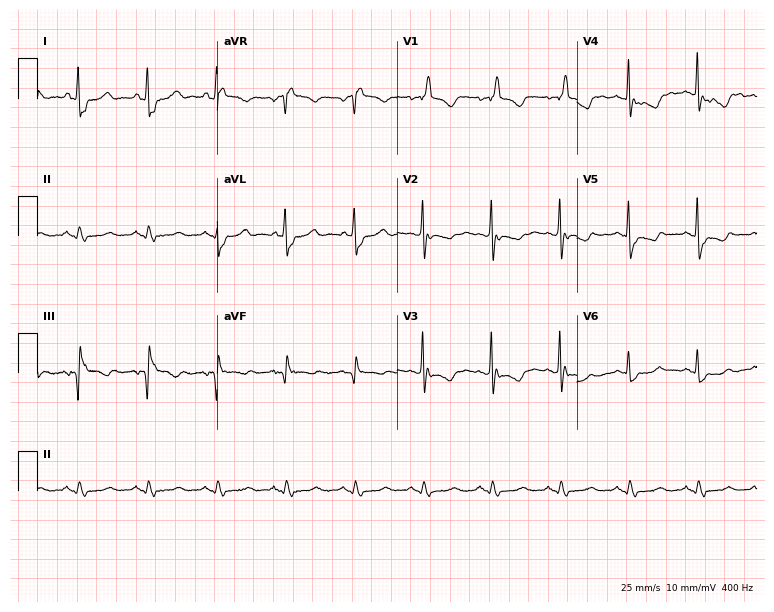
12-lead ECG from a female patient, 74 years old. Screened for six findings — first-degree AV block, right bundle branch block, left bundle branch block, sinus bradycardia, atrial fibrillation, sinus tachycardia — none is recorded. Other findings, if any, are not listed.